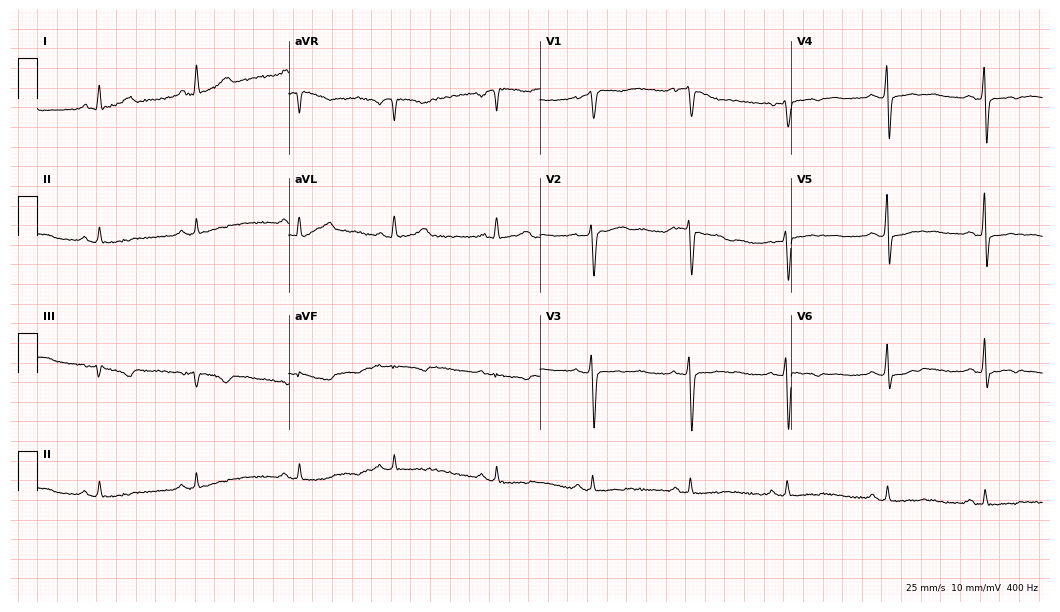
ECG (10.2-second recording at 400 Hz) — a 48-year-old woman. Screened for six findings — first-degree AV block, right bundle branch block, left bundle branch block, sinus bradycardia, atrial fibrillation, sinus tachycardia — none is recorded.